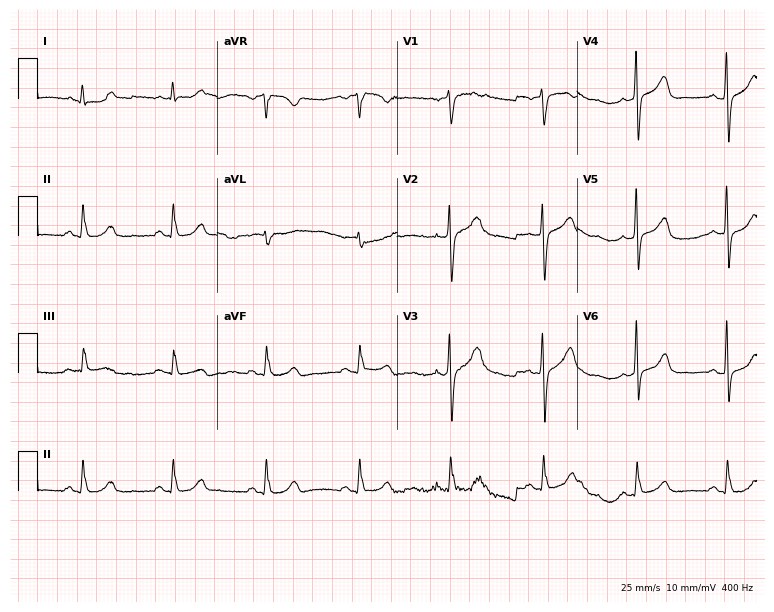
12-lead ECG from a 78-year-old male patient. Labelled as a normal ECG.